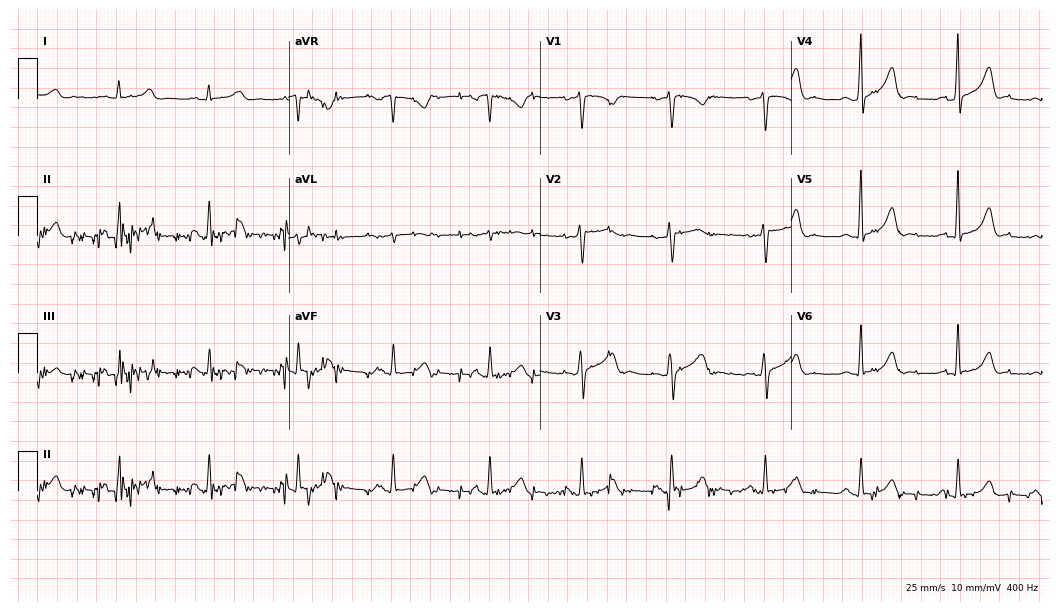
Resting 12-lead electrocardiogram (10.2-second recording at 400 Hz). Patient: a woman, 40 years old. None of these six findings is recorded: first-degree AV block, right bundle branch block, left bundle branch block, sinus bradycardia, atrial fibrillation, sinus tachycardia. Other findings, if any, are not listed.